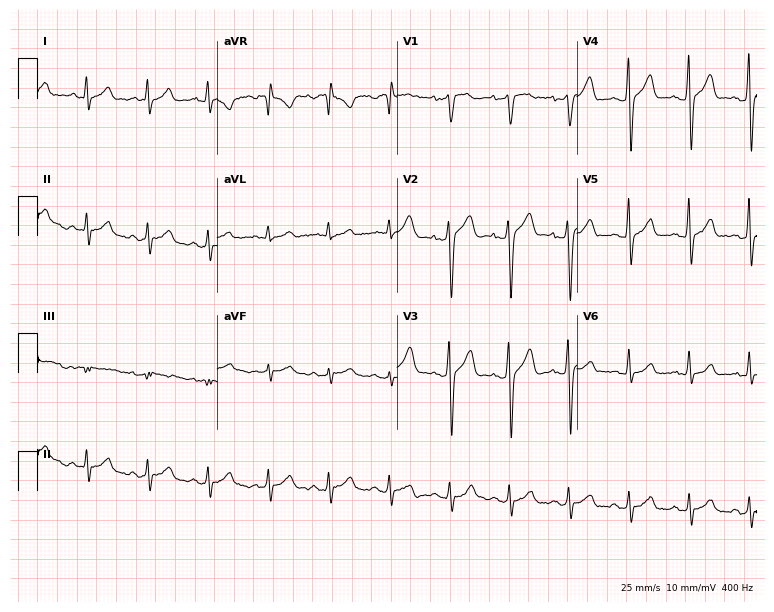
Standard 12-lead ECG recorded from a male, 35 years old. None of these six findings is recorded: first-degree AV block, right bundle branch block, left bundle branch block, sinus bradycardia, atrial fibrillation, sinus tachycardia.